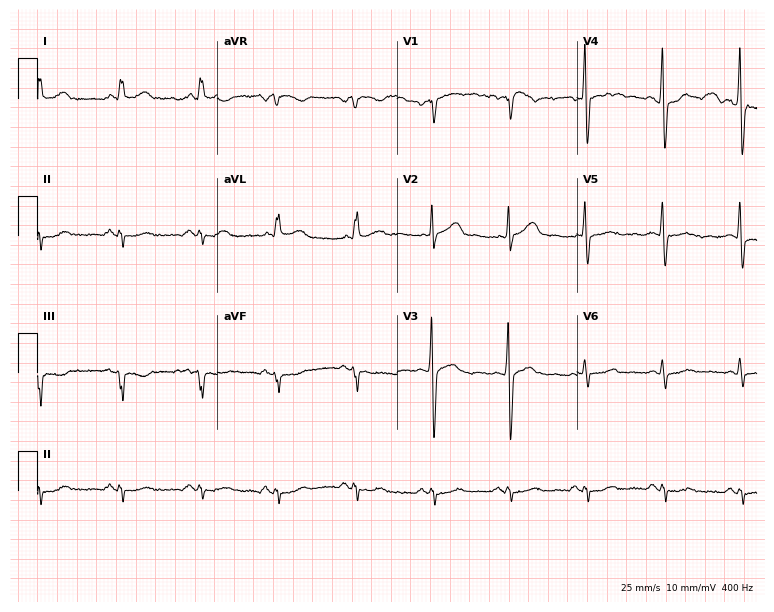
Electrocardiogram, a male, 67 years old. Of the six screened findings (first-degree AV block, right bundle branch block, left bundle branch block, sinus bradycardia, atrial fibrillation, sinus tachycardia), none is recorded. Other findings, if any, are not listed.